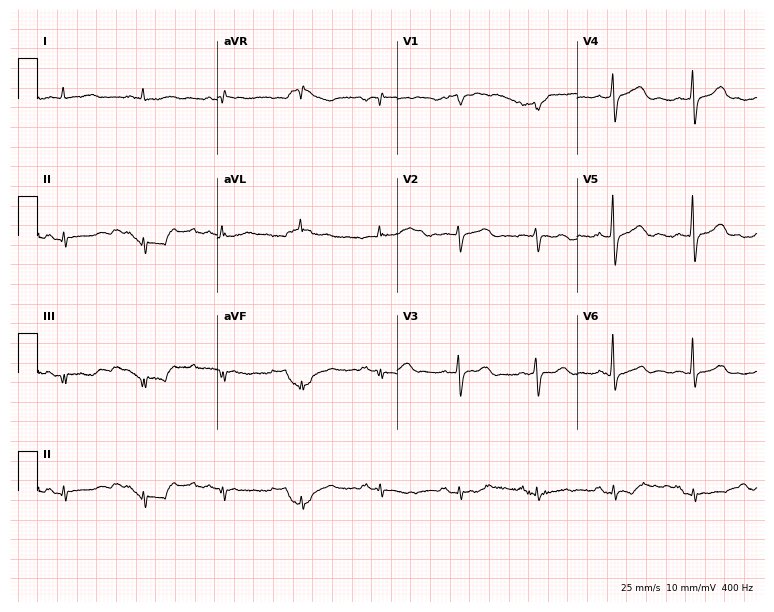
Resting 12-lead electrocardiogram. Patient: a 77-year-old female. Read as a normal ECG.